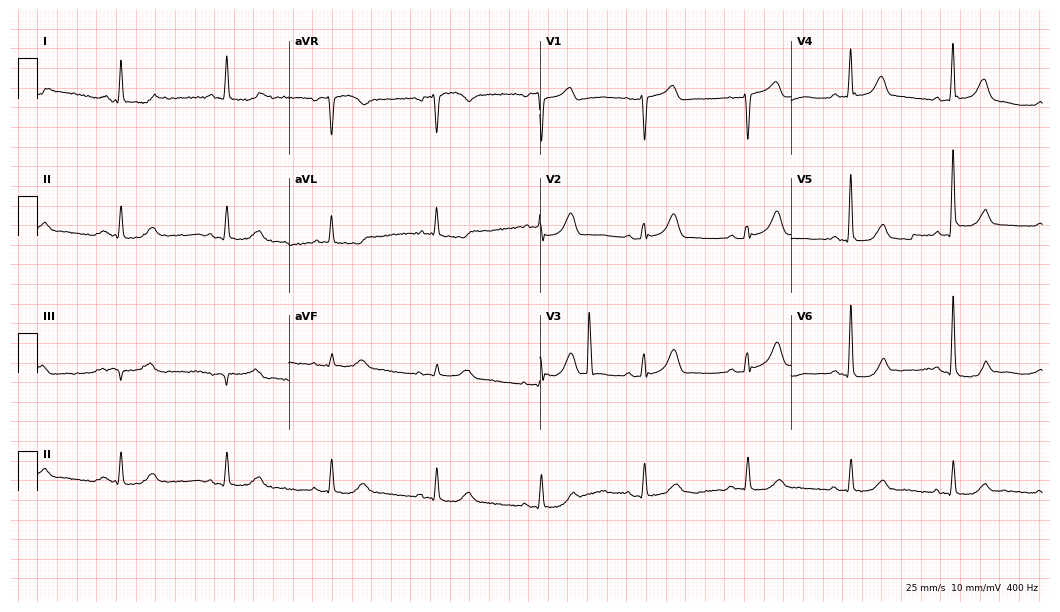
Electrocardiogram (10.2-second recording at 400 Hz), a male patient, 81 years old. Of the six screened findings (first-degree AV block, right bundle branch block, left bundle branch block, sinus bradycardia, atrial fibrillation, sinus tachycardia), none is recorded.